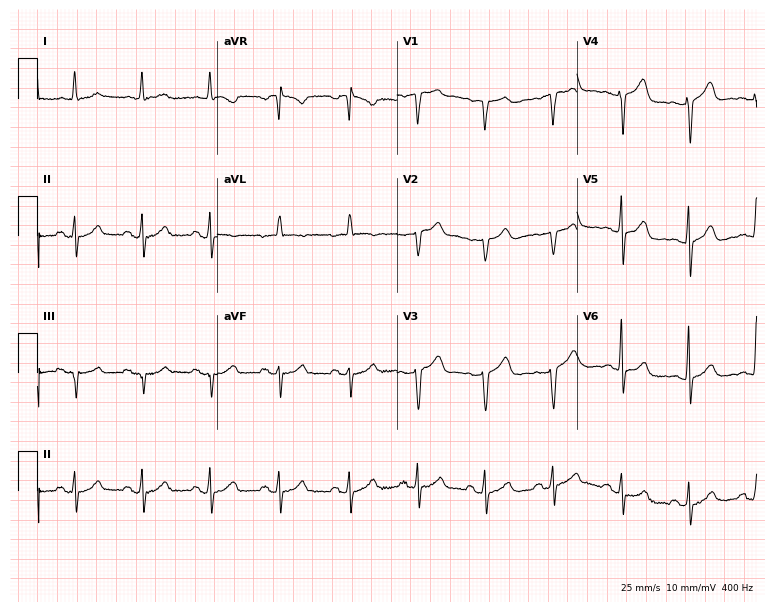
ECG — a 77-year-old female. Screened for six findings — first-degree AV block, right bundle branch block, left bundle branch block, sinus bradycardia, atrial fibrillation, sinus tachycardia — none is recorded. Other findings, if any, are not listed.